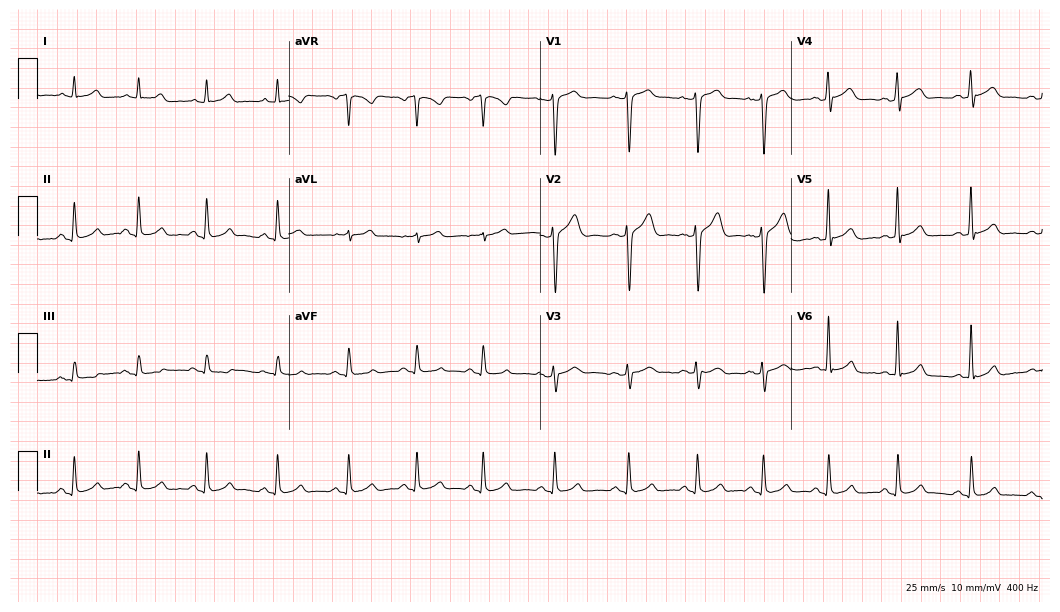
Resting 12-lead electrocardiogram. Patient: a male, 31 years old. Read as a normal ECG.